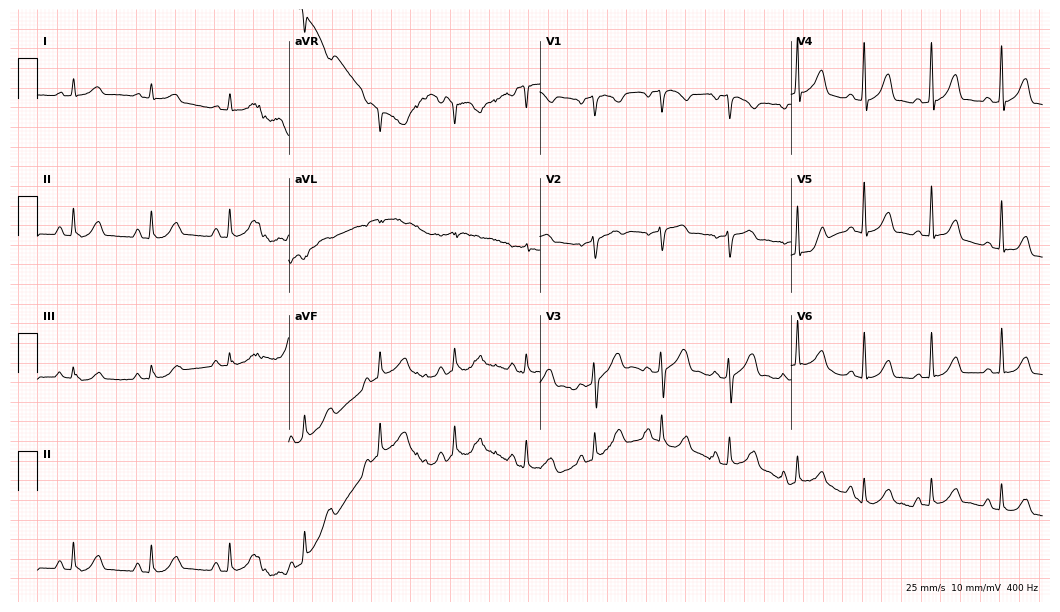
ECG (10.2-second recording at 400 Hz) — a 41-year-old female patient. Screened for six findings — first-degree AV block, right bundle branch block, left bundle branch block, sinus bradycardia, atrial fibrillation, sinus tachycardia — none is recorded.